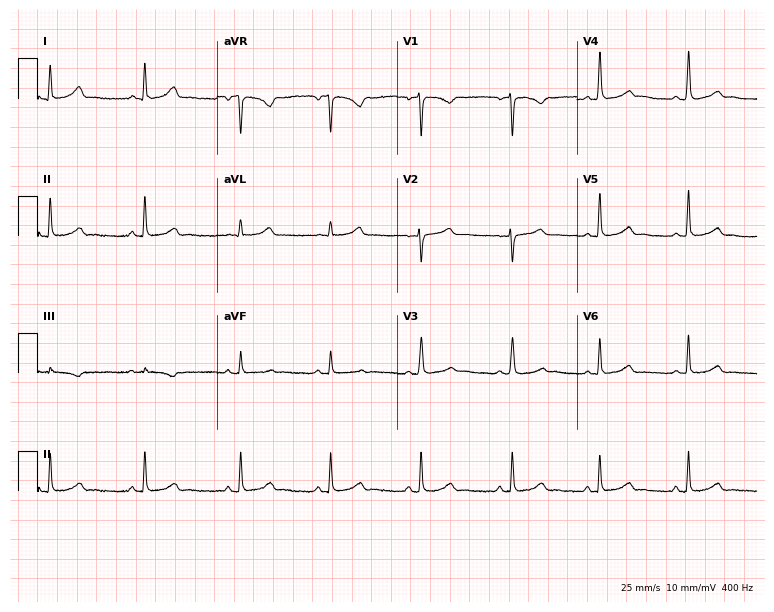
12-lead ECG from a 34-year-old female patient. Labelled as a normal ECG.